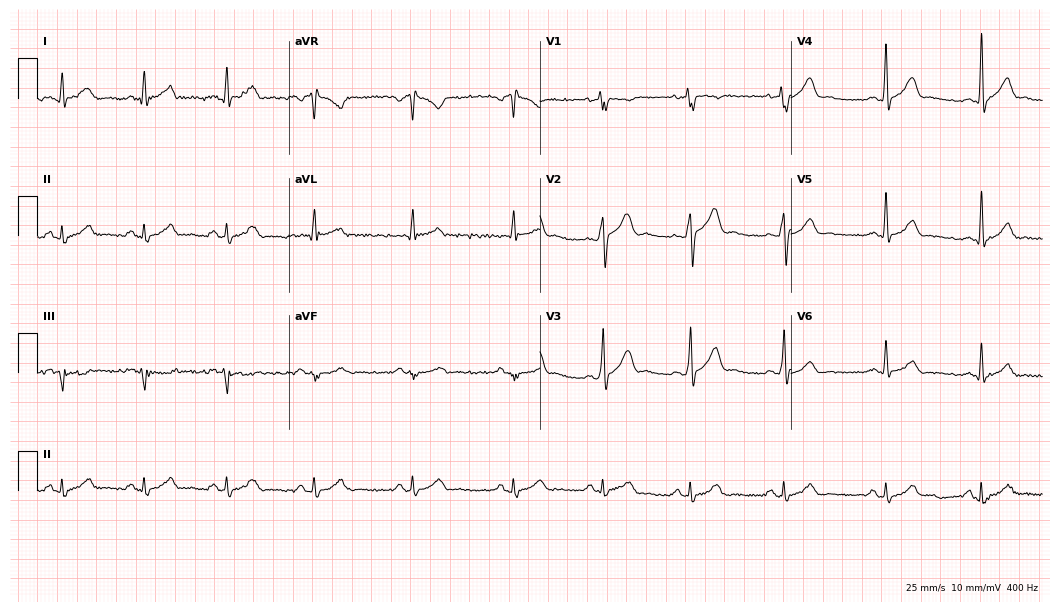
Standard 12-lead ECG recorded from a man, 31 years old. Read as a normal ECG.